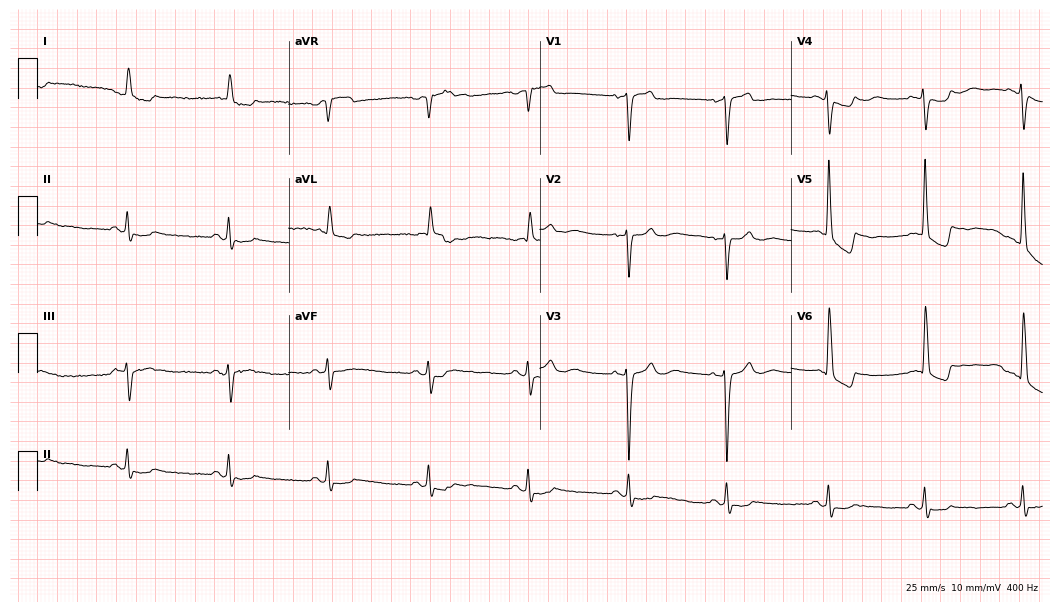
Standard 12-lead ECG recorded from a 56-year-old woman. None of these six findings is recorded: first-degree AV block, right bundle branch block, left bundle branch block, sinus bradycardia, atrial fibrillation, sinus tachycardia.